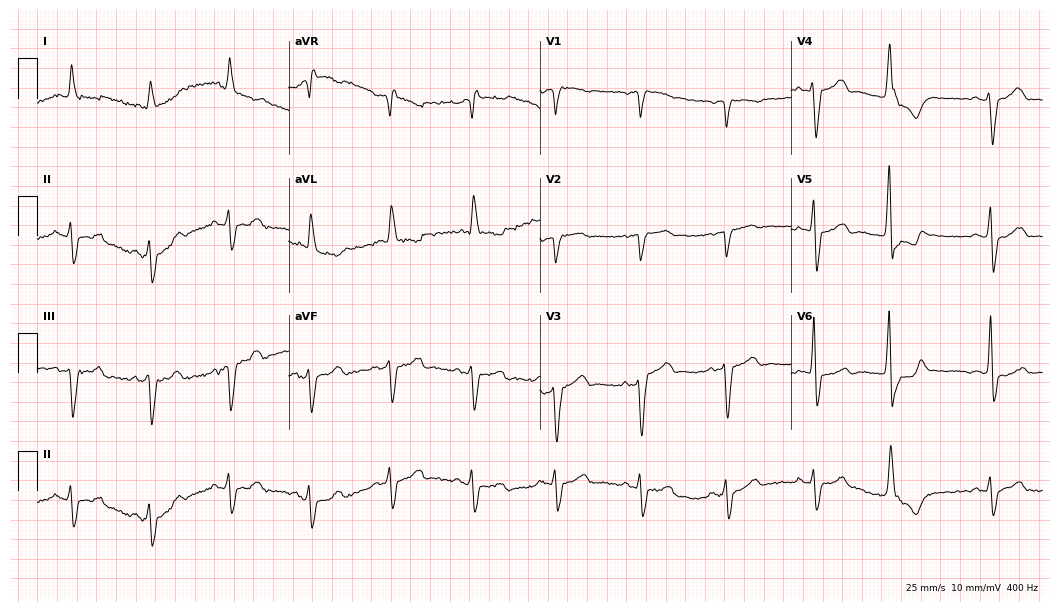
Resting 12-lead electrocardiogram (10.2-second recording at 400 Hz). Patient: a male, 84 years old. None of these six findings is recorded: first-degree AV block, right bundle branch block, left bundle branch block, sinus bradycardia, atrial fibrillation, sinus tachycardia.